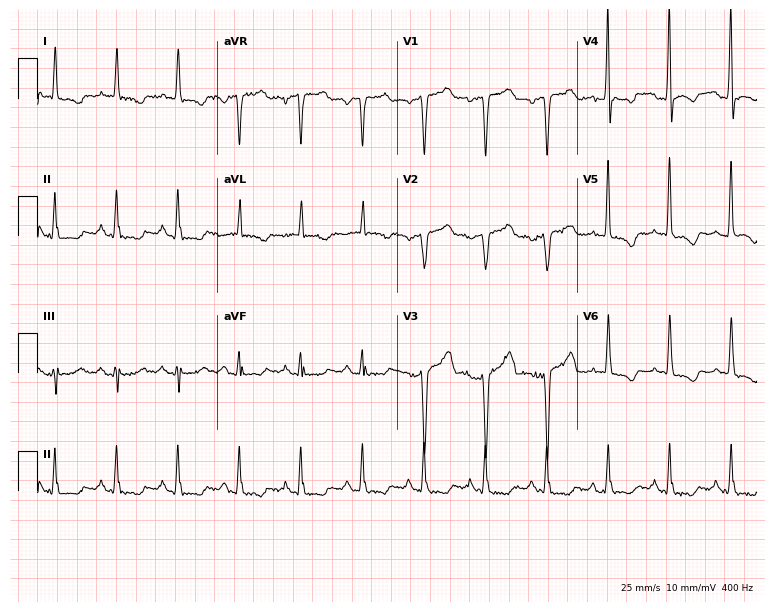
Standard 12-lead ECG recorded from a male, 51 years old (7.3-second recording at 400 Hz). None of these six findings is recorded: first-degree AV block, right bundle branch block, left bundle branch block, sinus bradycardia, atrial fibrillation, sinus tachycardia.